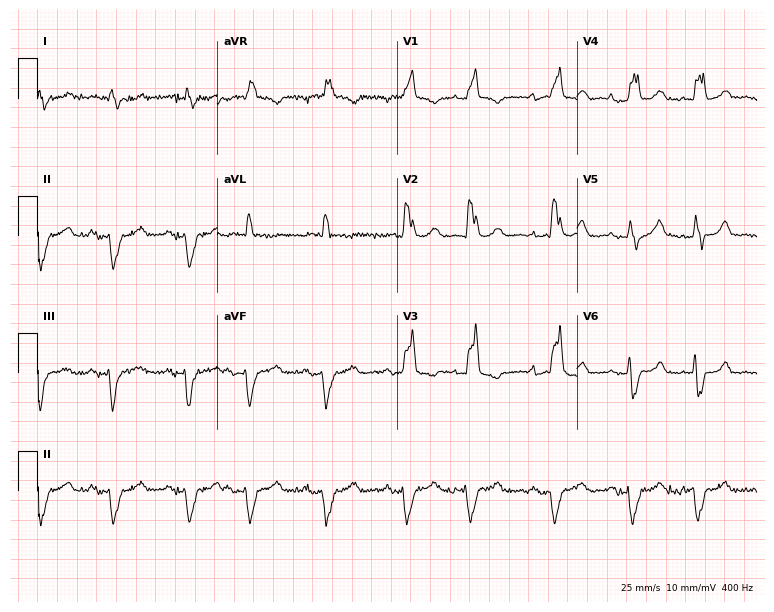
ECG — a 78-year-old woman. Findings include right bundle branch block, atrial fibrillation.